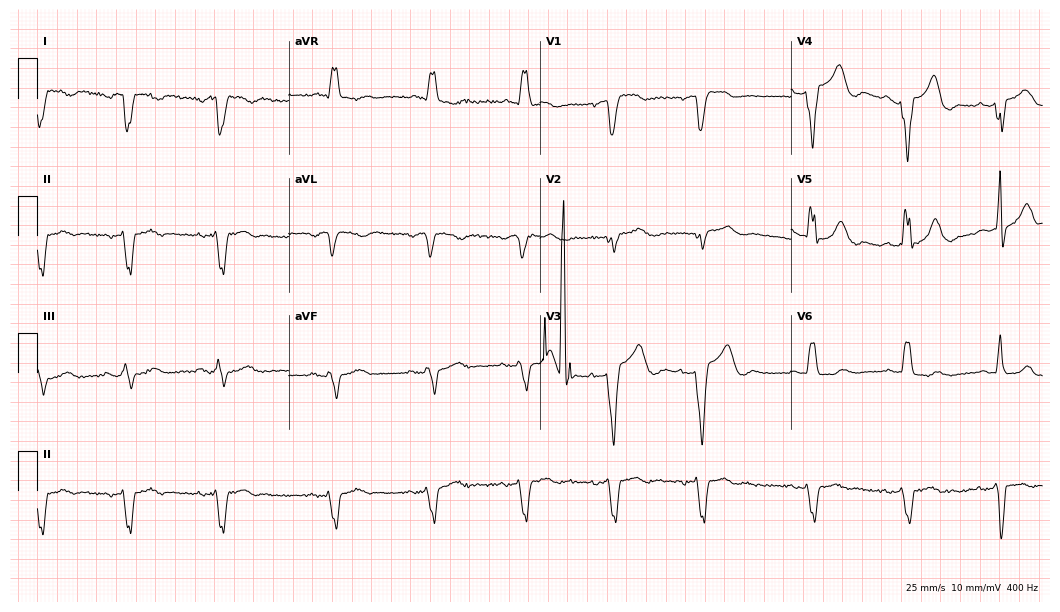
12-lead ECG (10.2-second recording at 400 Hz) from an 82-year-old woman. Screened for six findings — first-degree AV block, right bundle branch block, left bundle branch block, sinus bradycardia, atrial fibrillation, sinus tachycardia — none is recorded. Findings outside these six are not listed.